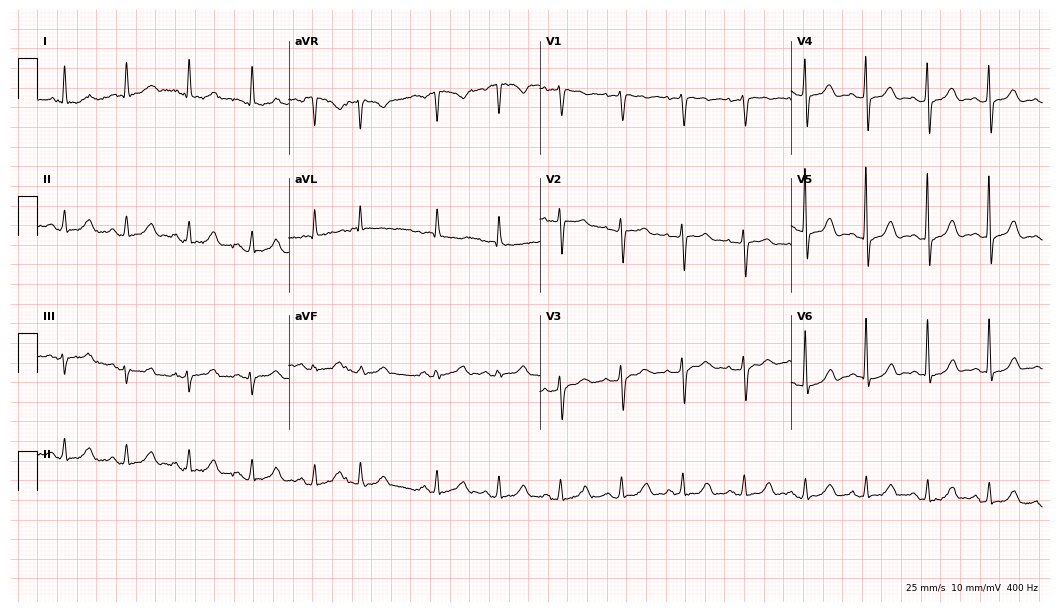
Electrocardiogram (10.2-second recording at 400 Hz), a female, 76 years old. Overall reading on record: normal ECG.